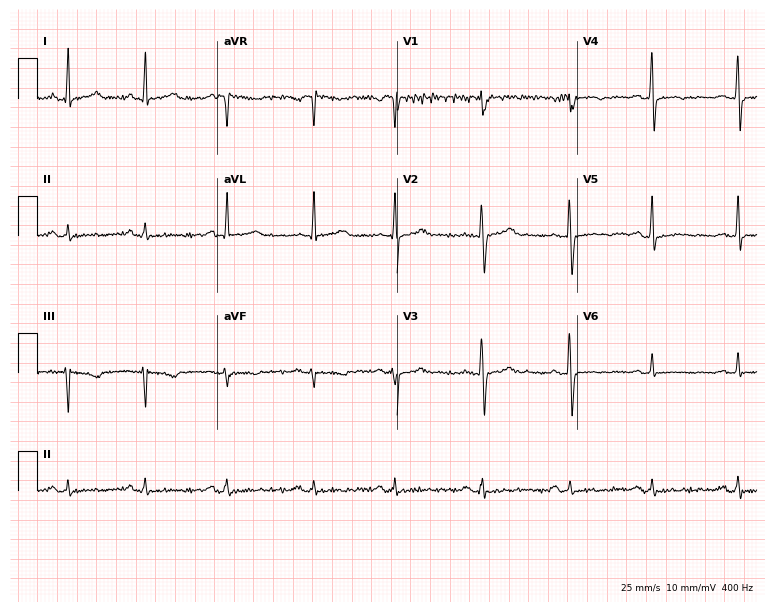
12-lead ECG from a 40-year-old woman. No first-degree AV block, right bundle branch block (RBBB), left bundle branch block (LBBB), sinus bradycardia, atrial fibrillation (AF) or sinus tachycardia recorded for this tracing. Findings outside these six are not listed.